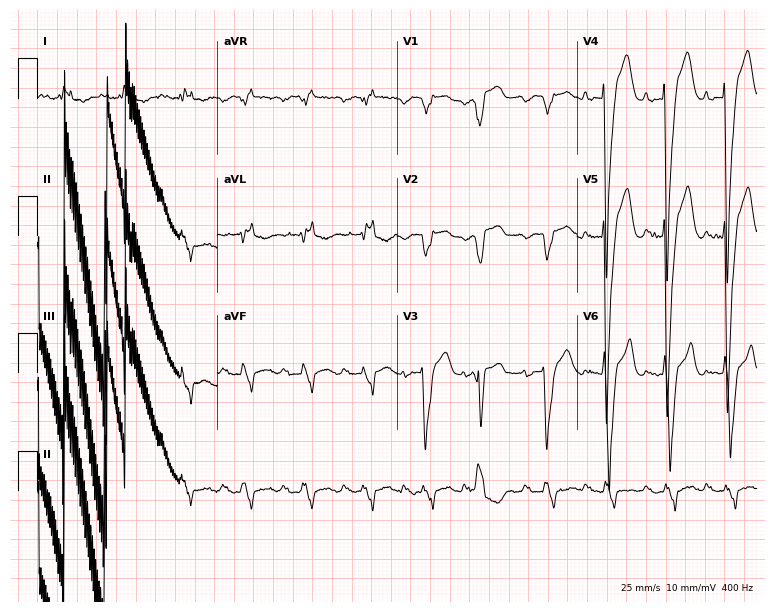
12-lead ECG (7.3-second recording at 400 Hz) from a man, 75 years old. Findings include left bundle branch block.